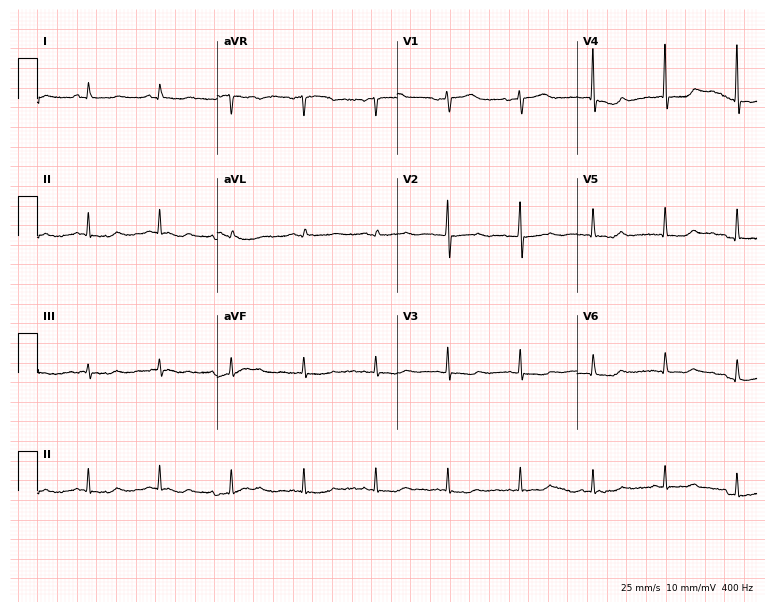
12-lead ECG from a 68-year-old female patient. Screened for six findings — first-degree AV block, right bundle branch block, left bundle branch block, sinus bradycardia, atrial fibrillation, sinus tachycardia — none is recorded.